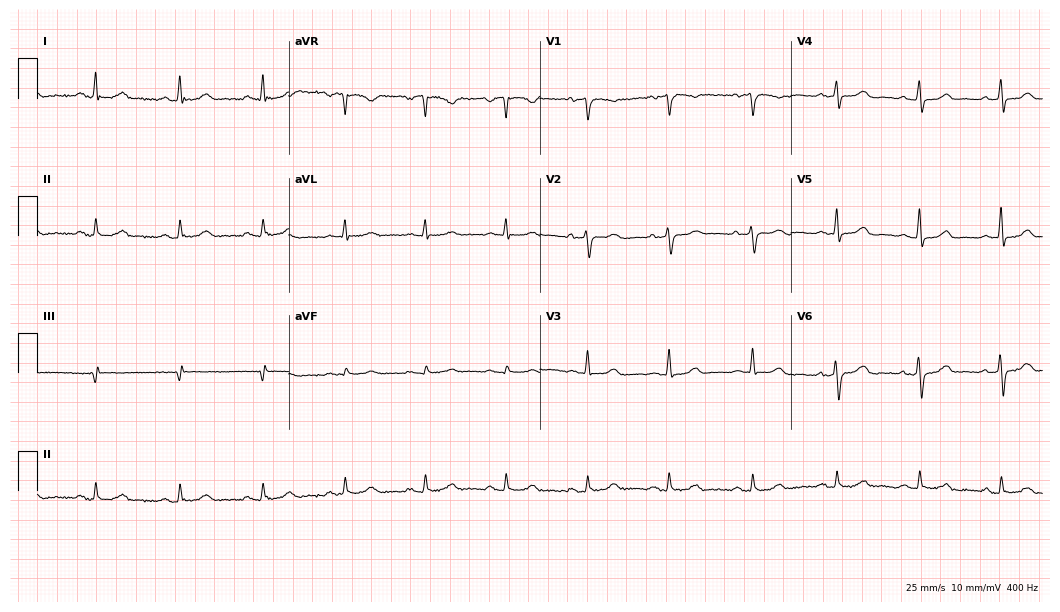
Standard 12-lead ECG recorded from a woman, 78 years old. Read as a normal ECG.